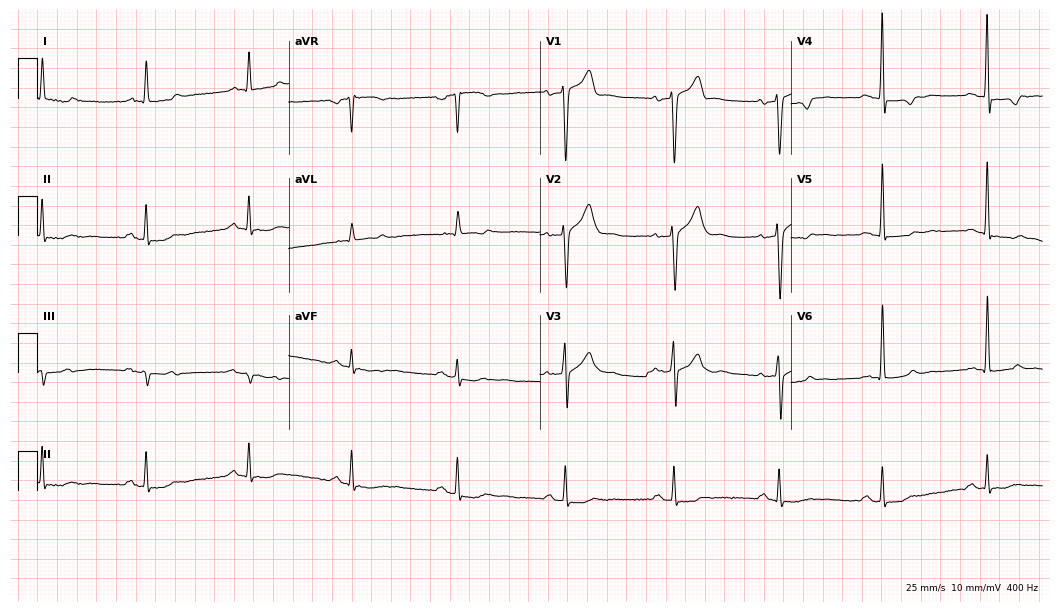
ECG — a 68-year-old man. Screened for six findings — first-degree AV block, right bundle branch block, left bundle branch block, sinus bradycardia, atrial fibrillation, sinus tachycardia — none is recorded.